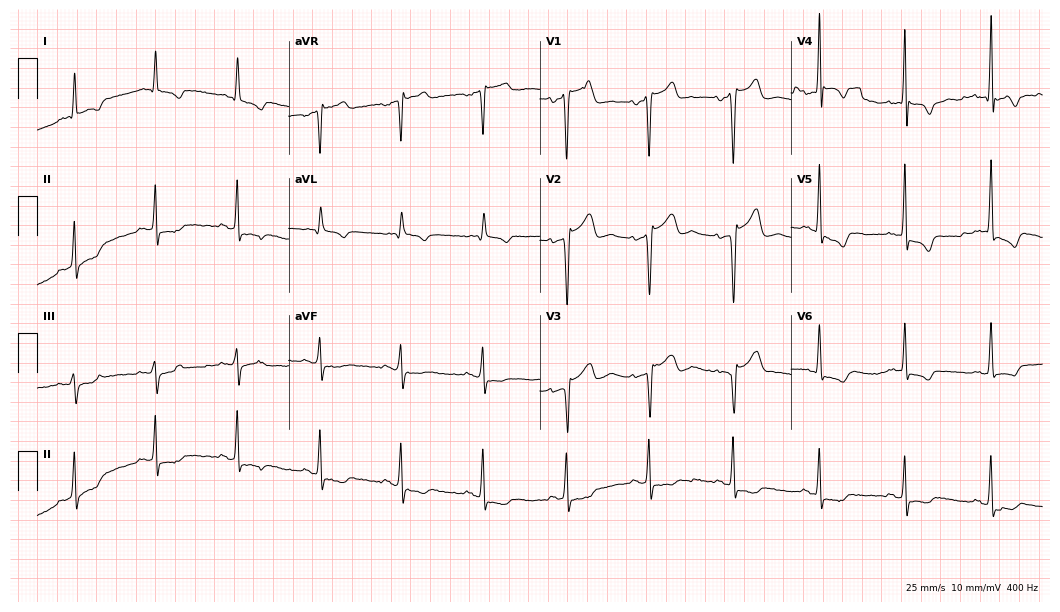
Standard 12-lead ECG recorded from a 69-year-old male (10.2-second recording at 400 Hz). None of these six findings is recorded: first-degree AV block, right bundle branch block, left bundle branch block, sinus bradycardia, atrial fibrillation, sinus tachycardia. Other findings, if any, are not listed.